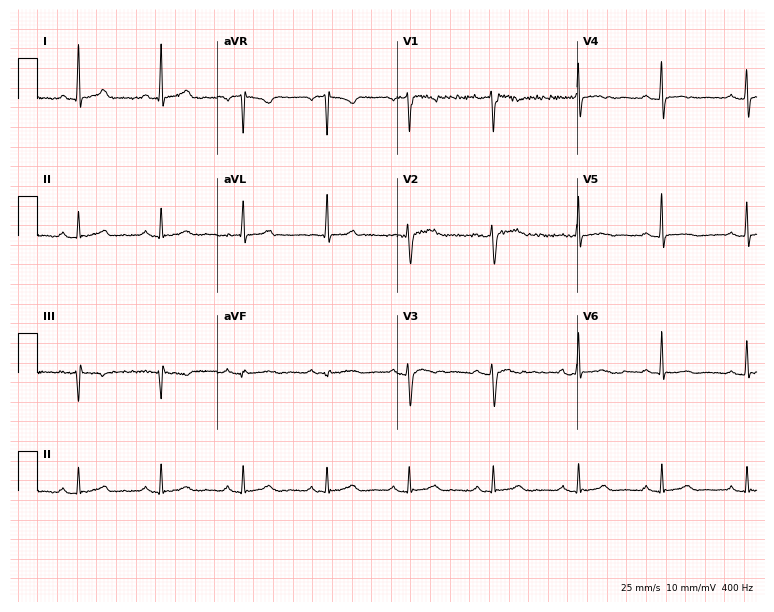
12-lead ECG from a female patient, 53 years old. No first-degree AV block, right bundle branch block, left bundle branch block, sinus bradycardia, atrial fibrillation or sinus tachycardia recorded for this tracing.